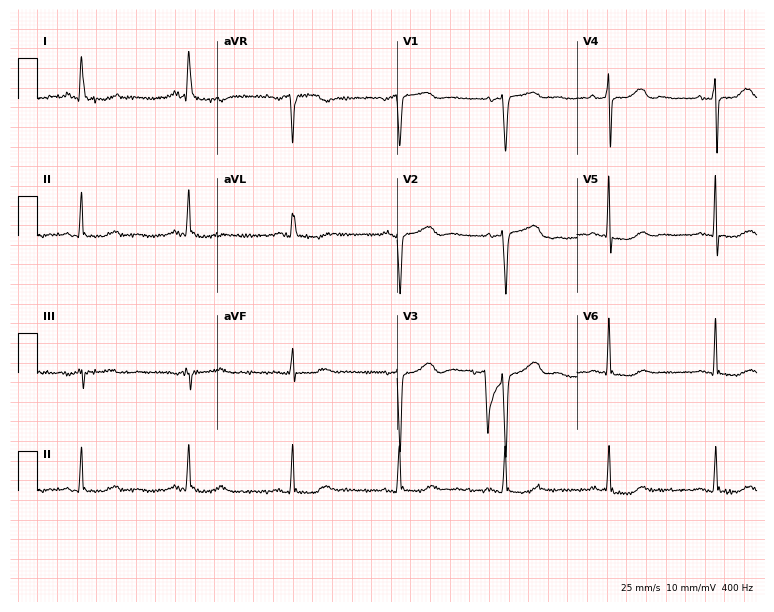
Standard 12-lead ECG recorded from a female, 64 years old. None of these six findings is recorded: first-degree AV block, right bundle branch block (RBBB), left bundle branch block (LBBB), sinus bradycardia, atrial fibrillation (AF), sinus tachycardia.